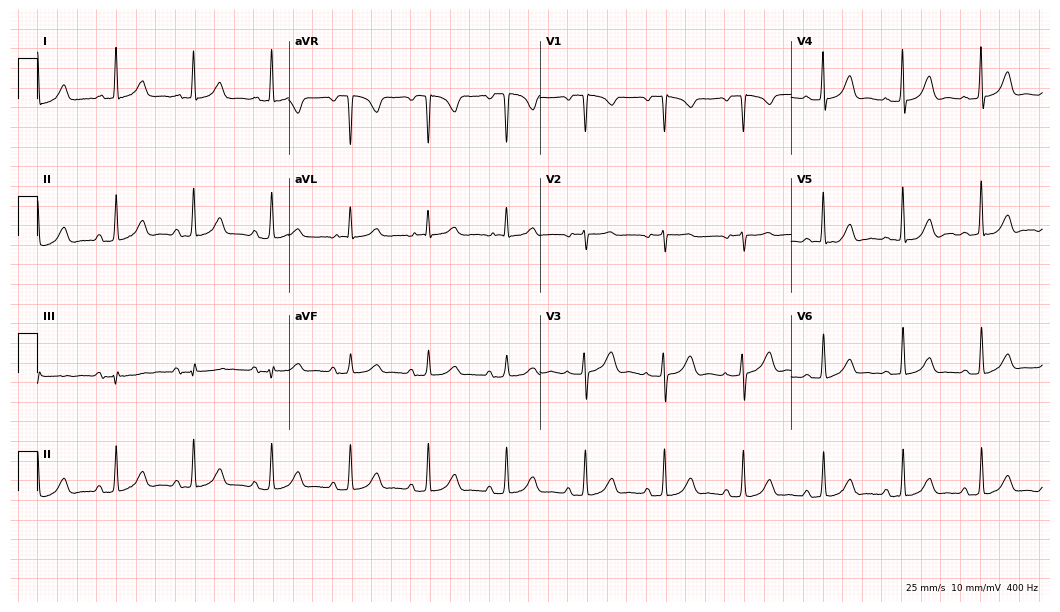
Standard 12-lead ECG recorded from a female, 79 years old (10.2-second recording at 400 Hz). Read as a normal ECG.